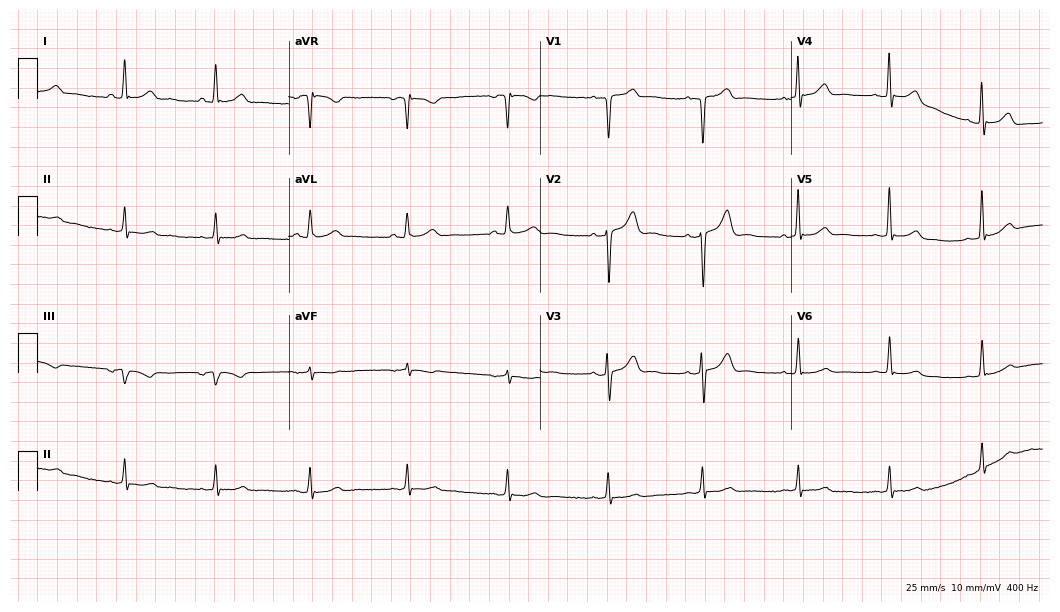
12-lead ECG from a 50-year-old male patient. Recorded interpretation: within normal limits.